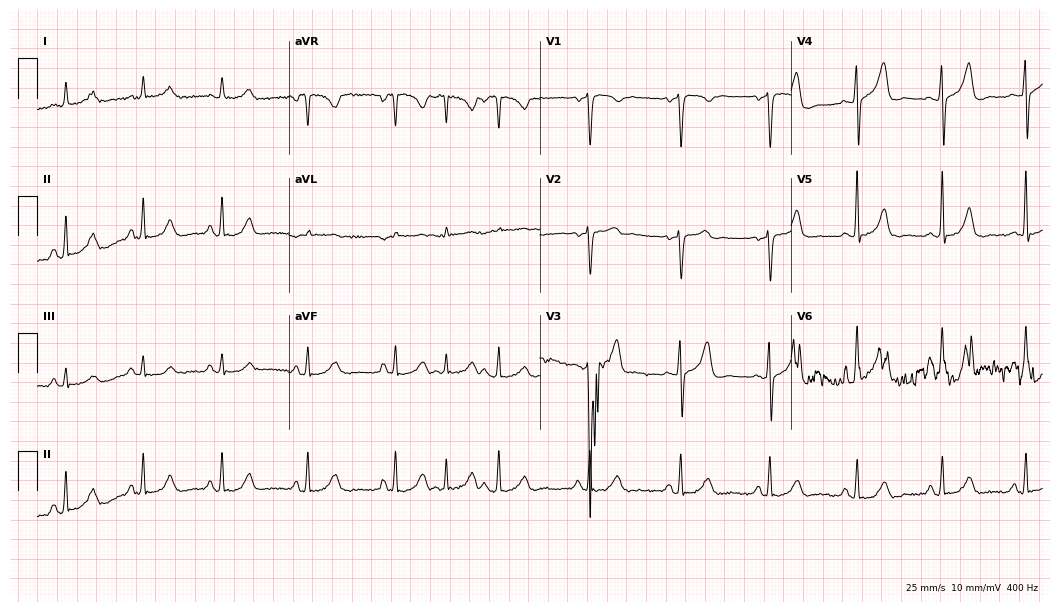
Electrocardiogram (10.2-second recording at 400 Hz), a male patient, 62 years old. Of the six screened findings (first-degree AV block, right bundle branch block (RBBB), left bundle branch block (LBBB), sinus bradycardia, atrial fibrillation (AF), sinus tachycardia), none is recorded.